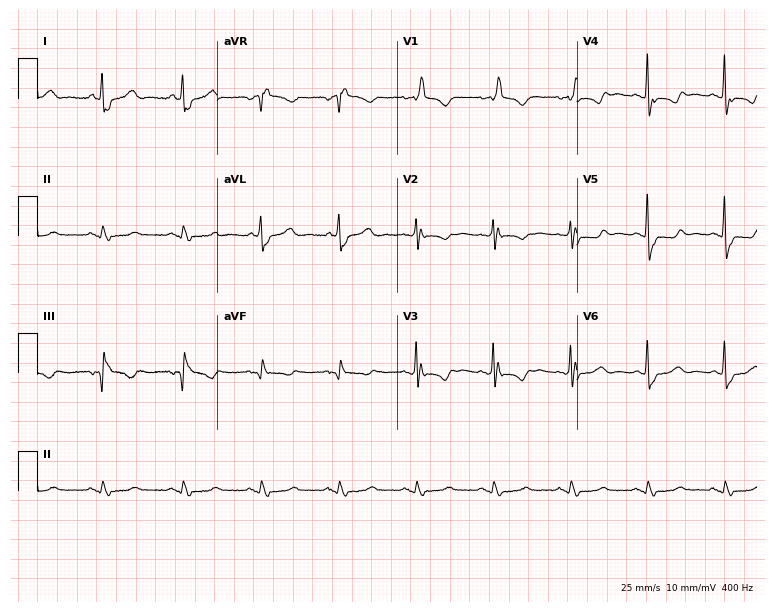
Standard 12-lead ECG recorded from a 71-year-old female. The tracing shows right bundle branch block.